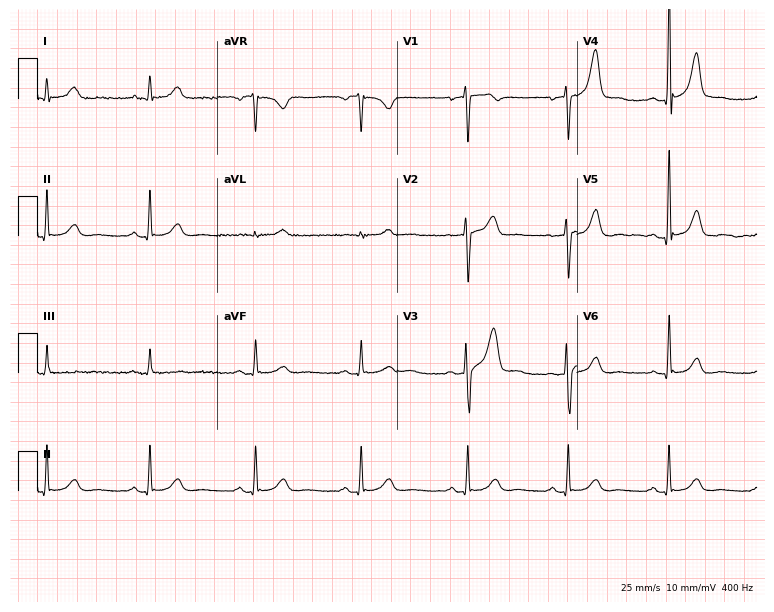
12-lead ECG from a male patient, 38 years old (7.3-second recording at 400 Hz). Recorded interpretation: within normal limits.